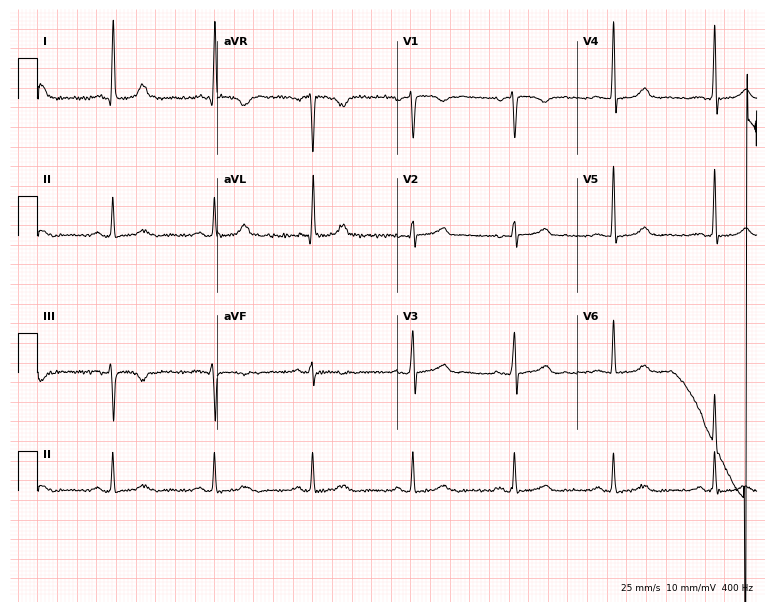
Standard 12-lead ECG recorded from a woman, 50 years old (7.3-second recording at 400 Hz). None of these six findings is recorded: first-degree AV block, right bundle branch block (RBBB), left bundle branch block (LBBB), sinus bradycardia, atrial fibrillation (AF), sinus tachycardia. Findings outside these six are not listed.